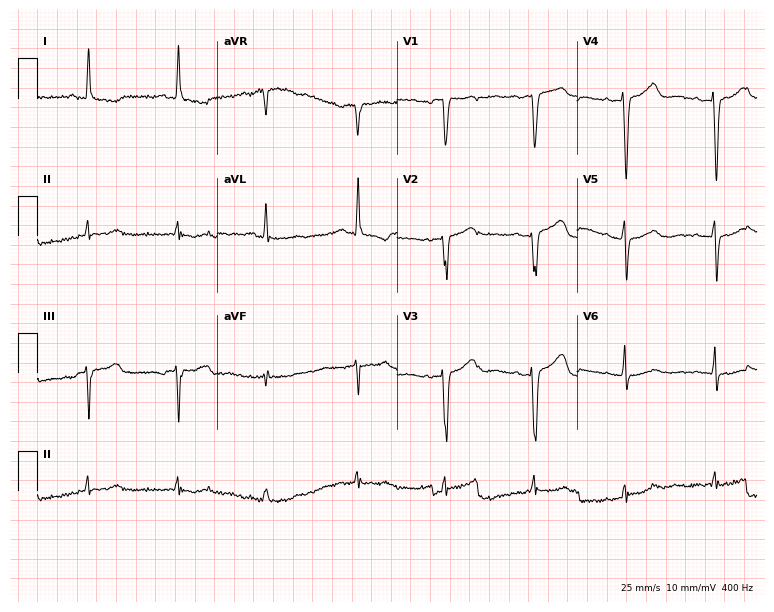
12-lead ECG from a female patient, 55 years old. Screened for six findings — first-degree AV block, right bundle branch block, left bundle branch block, sinus bradycardia, atrial fibrillation, sinus tachycardia — none is recorded. Other findings, if any, are not listed.